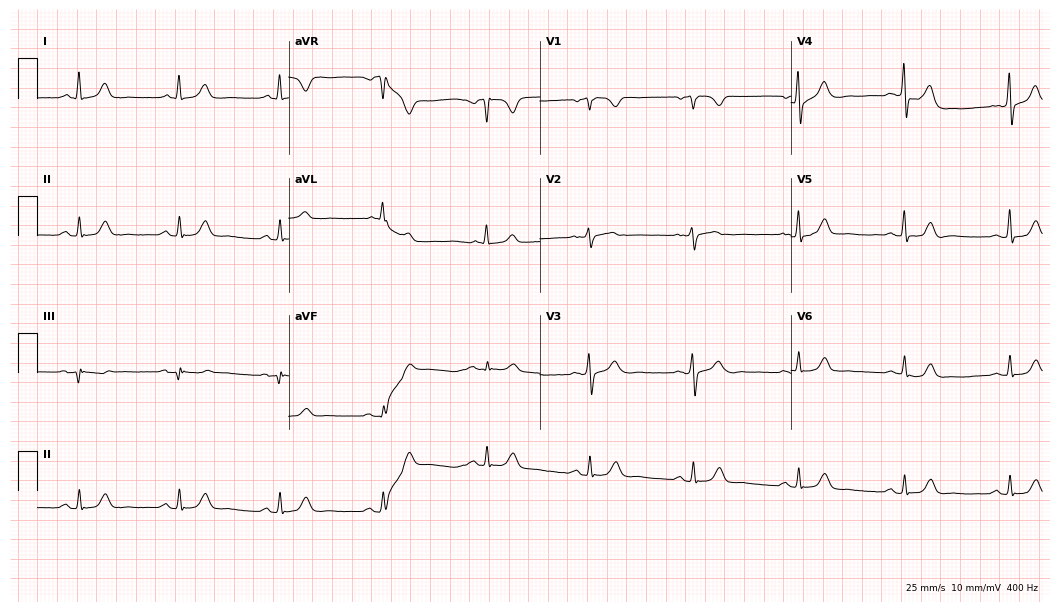
Resting 12-lead electrocardiogram. Patient: a female, 72 years old. Read as a normal ECG.